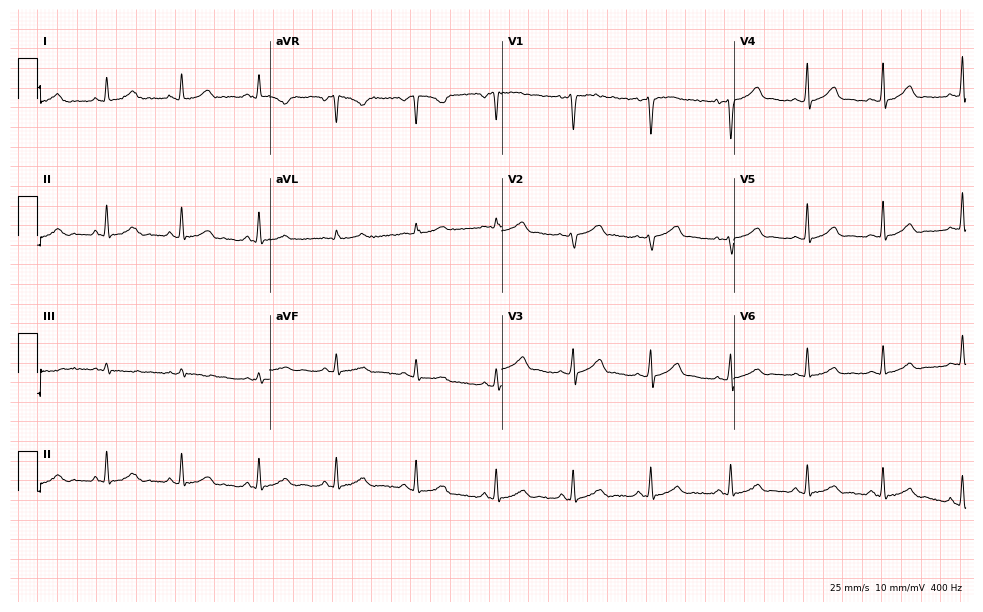
Electrocardiogram (9.5-second recording at 400 Hz), a 30-year-old female patient. Overall reading on record: normal ECG.